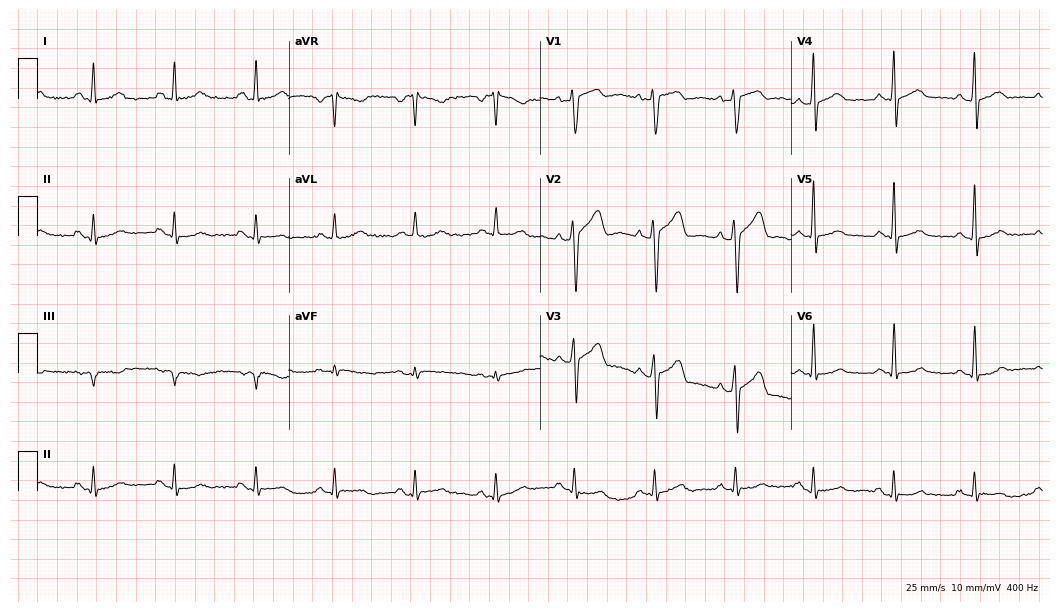
12-lead ECG from a male patient, 34 years old. No first-degree AV block, right bundle branch block, left bundle branch block, sinus bradycardia, atrial fibrillation or sinus tachycardia recorded for this tracing.